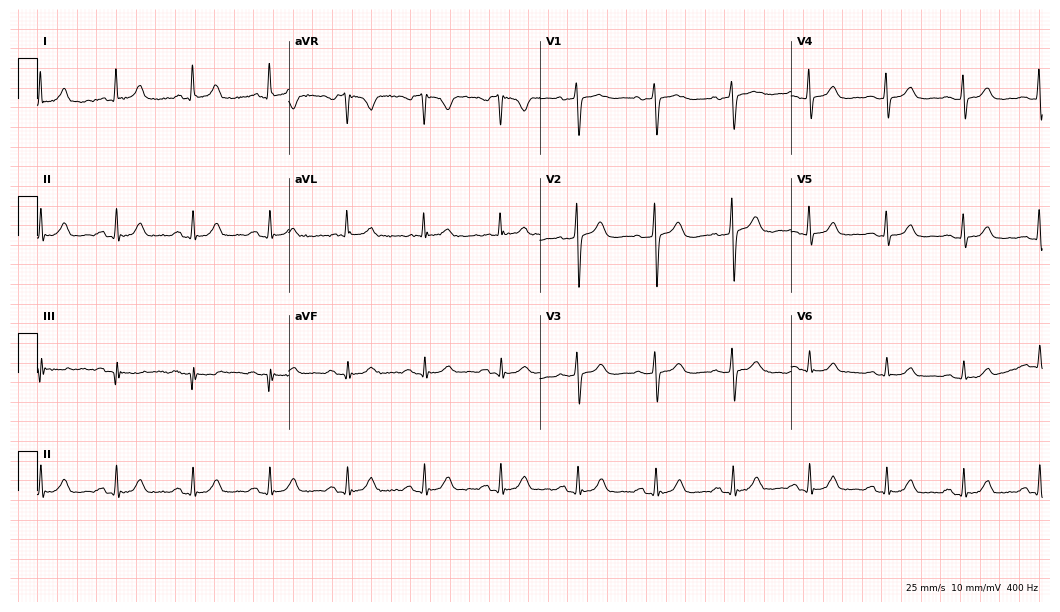
12-lead ECG (10.2-second recording at 400 Hz) from a 78-year-old woman. Screened for six findings — first-degree AV block, right bundle branch block (RBBB), left bundle branch block (LBBB), sinus bradycardia, atrial fibrillation (AF), sinus tachycardia — none is recorded. Other findings, if any, are not listed.